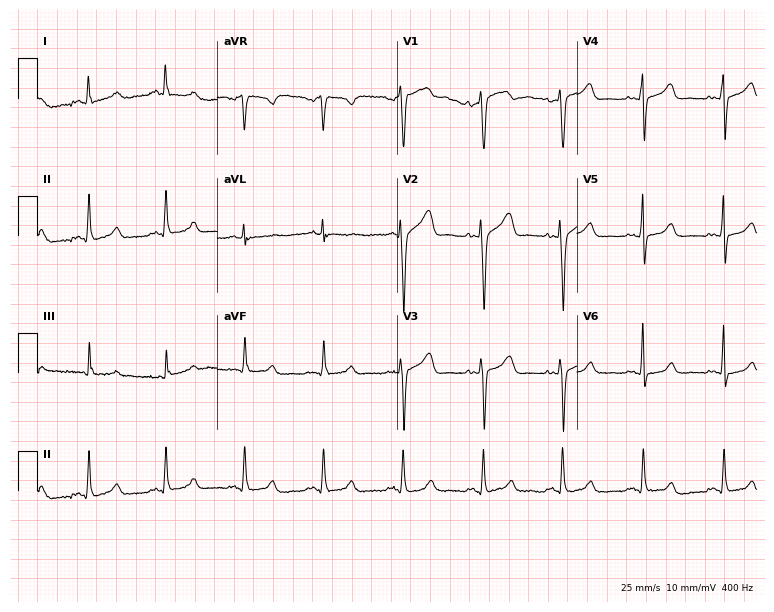
12-lead ECG from a female patient, 20 years old. Recorded interpretation: within normal limits.